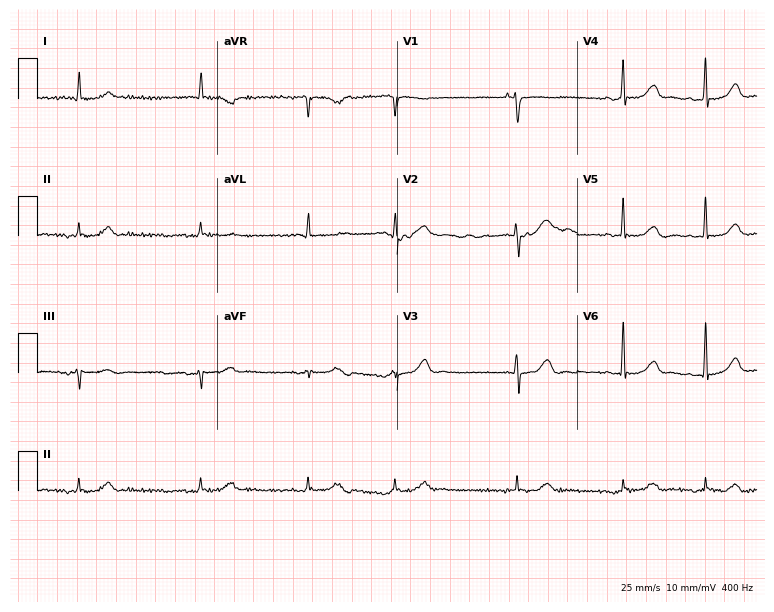
Electrocardiogram, a female patient, 62 years old. Of the six screened findings (first-degree AV block, right bundle branch block, left bundle branch block, sinus bradycardia, atrial fibrillation, sinus tachycardia), none is recorded.